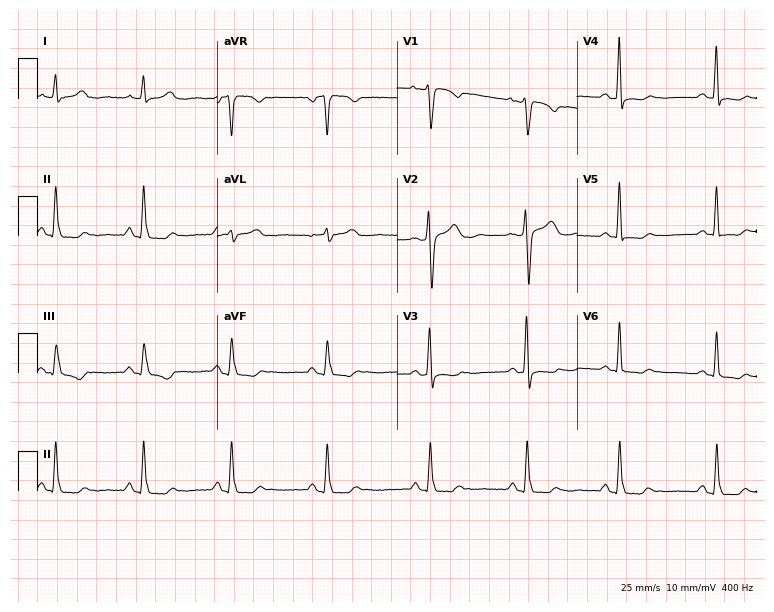
12-lead ECG (7.3-second recording at 400 Hz) from a female patient, 49 years old. Screened for six findings — first-degree AV block, right bundle branch block, left bundle branch block, sinus bradycardia, atrial fibrillation, sinus tachycardia — none is recorded. Only these six findings were labelled.